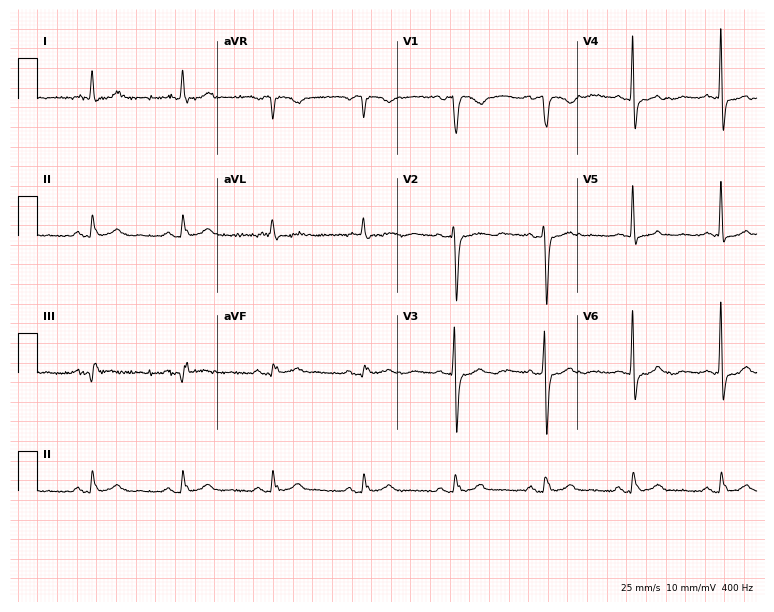
Resting 12-lead electrocardiogram (7.3-second recording at 400 Hz). Patient: a female, 78 years old. Read as a normal ECG.